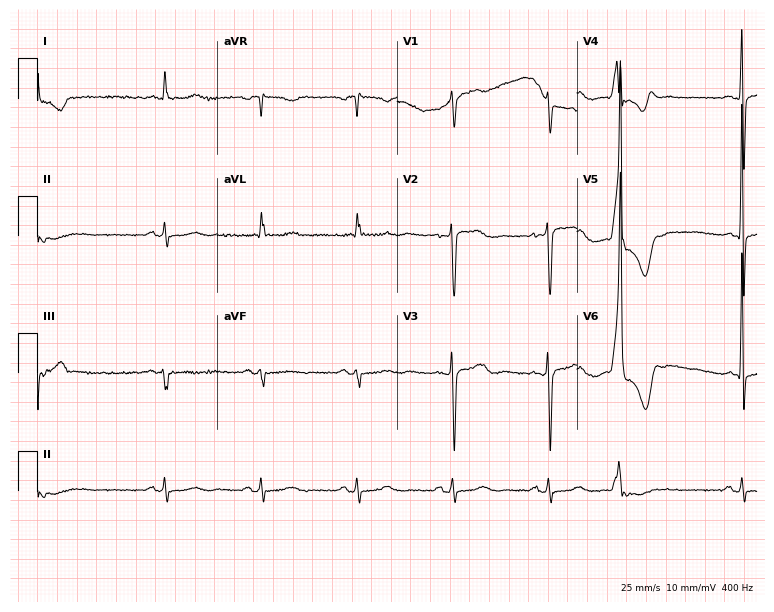
12-lead ECG (7.3-second recording at 400 Hz) from an 86-year-old male. Screened for six findings — first-degree AV block, right bundle branch block, left bundle branch block, sinus bradycardia, atrial fibrillation, sinus tachycardia — none is recorded.